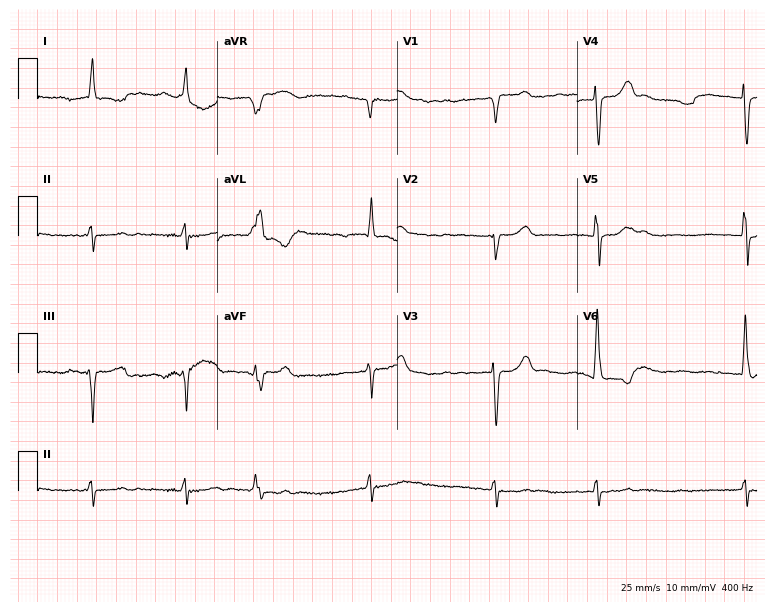
ECG (7.3-second recording at 400 Hz) — an 80-year-old man. Findings include atrial fibrillation (AF).